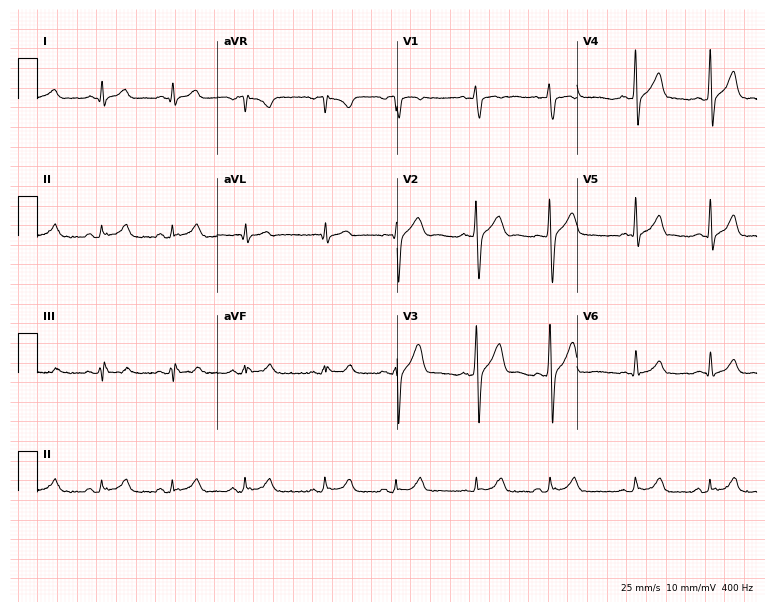
12-lead ECG from a male patient, 30 years old. No first-degree AV block, right bundle branch block (RBBB), left bundle branch block (LBBB), sinus bradycardia, atrial fibrillation (AF) or sinus tachycardia recorded for this tracing. Only these six findings were labelled.